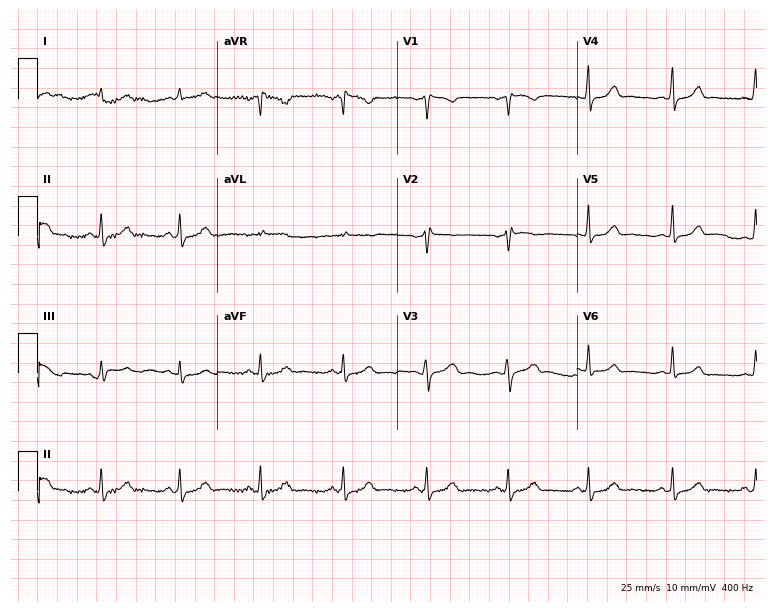
Standard 12-lead ECG recorded from a 36-year-old female patient. Read as a normal ECG.